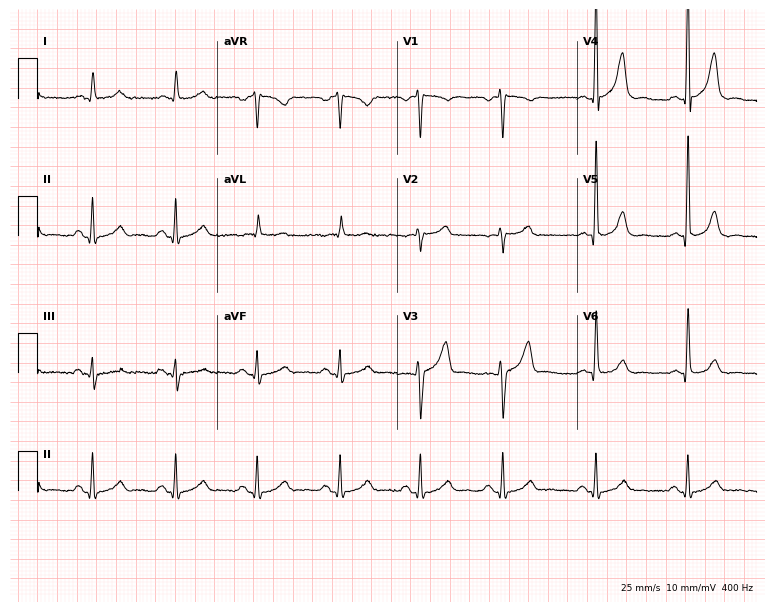
Electrocardiogram, a man, 47 years old. Overall reading on record: normal ECG.